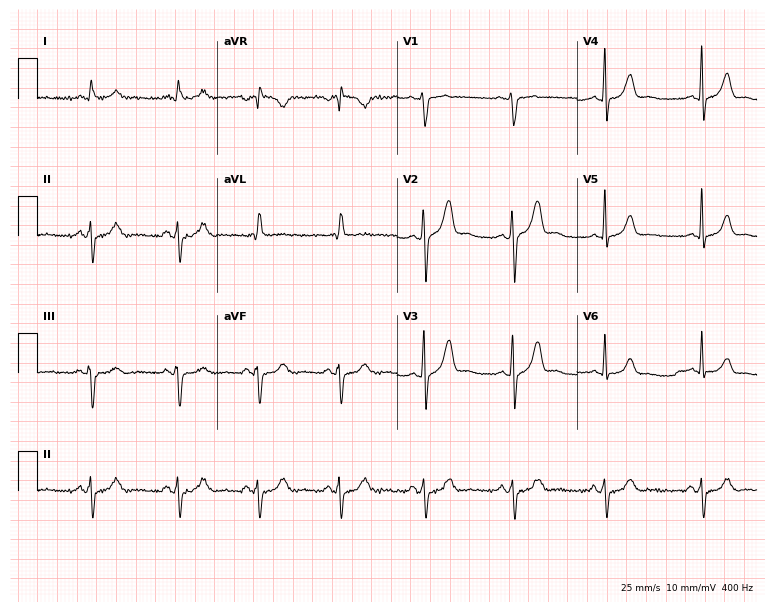
ECG (7.3-second recording at 400 Hz) — a male patient, 43 years old. Screened for six findings — first-degree AV block, right bundle branch block, left bundle branch block, sinus bradycardia, atrial fibrillation, sinus tachycardia — none is recorded.